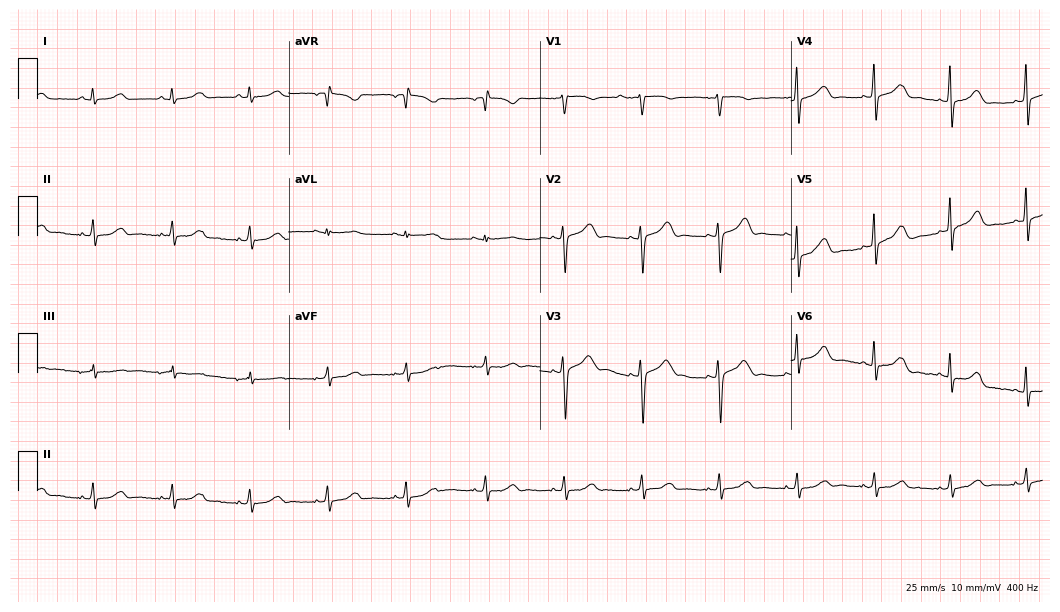
12-lead ECG from a female, 46 years old (10.2-second recording at 400 Hz). Recorded interpretation: within normal limits.